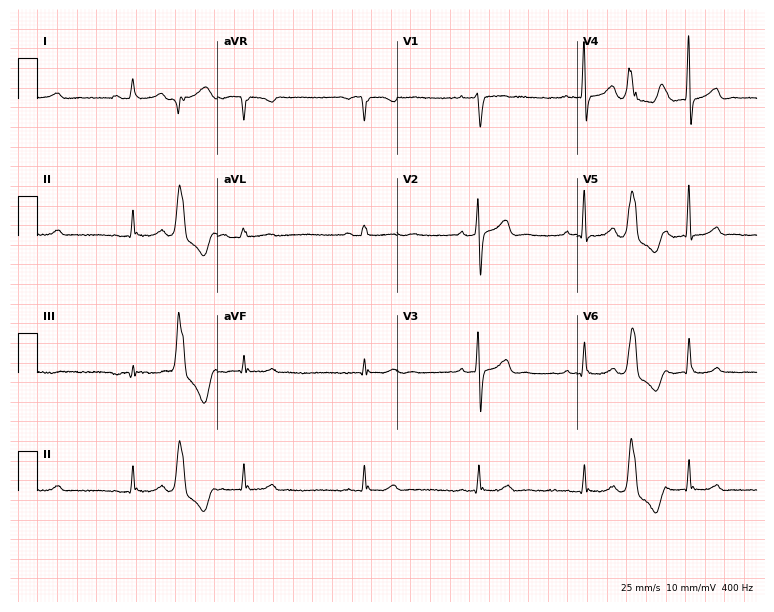
12-lead ECG from a 29-year-old female. Screened for six findings — first-degree AV block, right bundle branch block, left bundle branch block, sinus bradycardia, atrial fibrillation, sinus tachycardia — none is recorded. Findings outside these six are not listed.